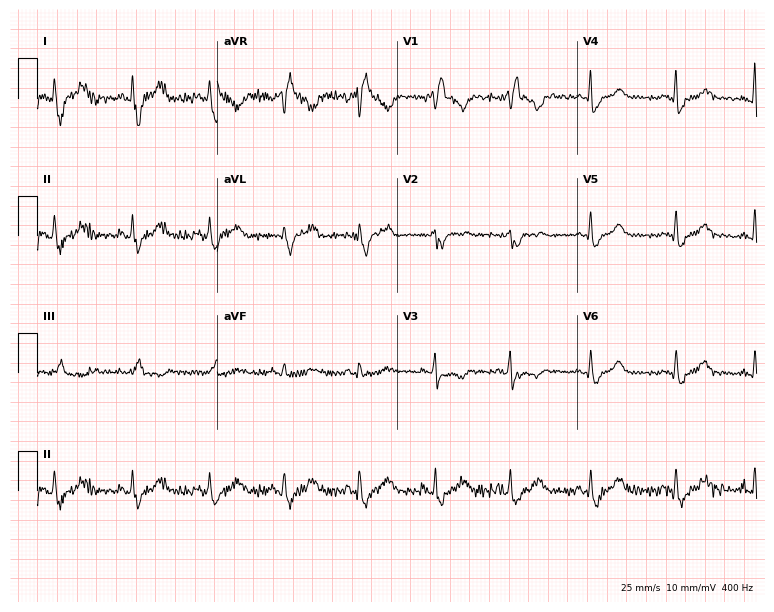
ECG (7.3-second recording at 400 Hz) — a 35-year-old female. Findings include right bundle branch block.